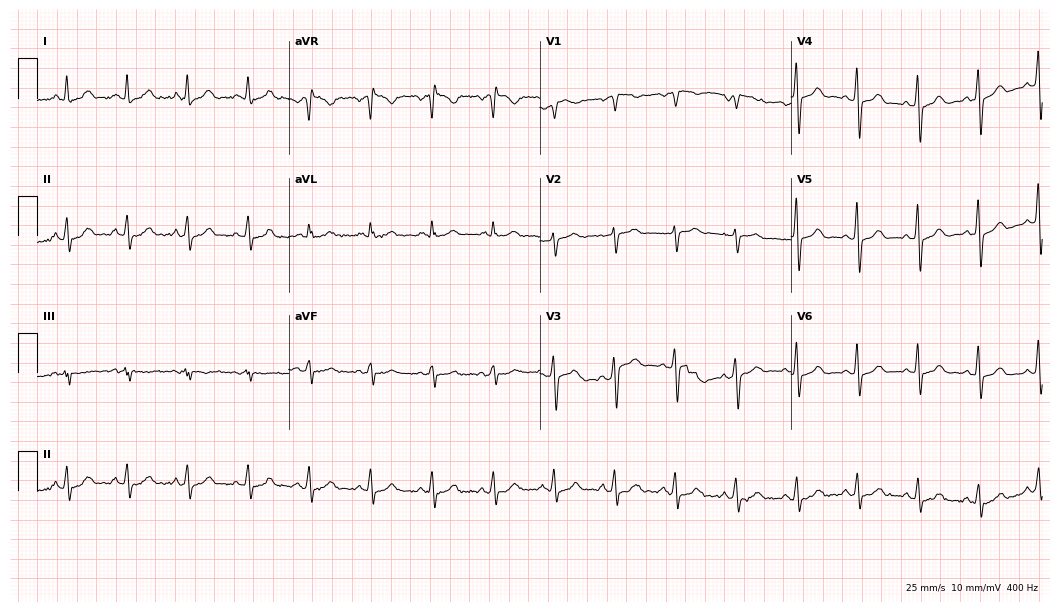
Electrocardiogram, a 43-year-old woman. Overall reading on record: normal ECG.